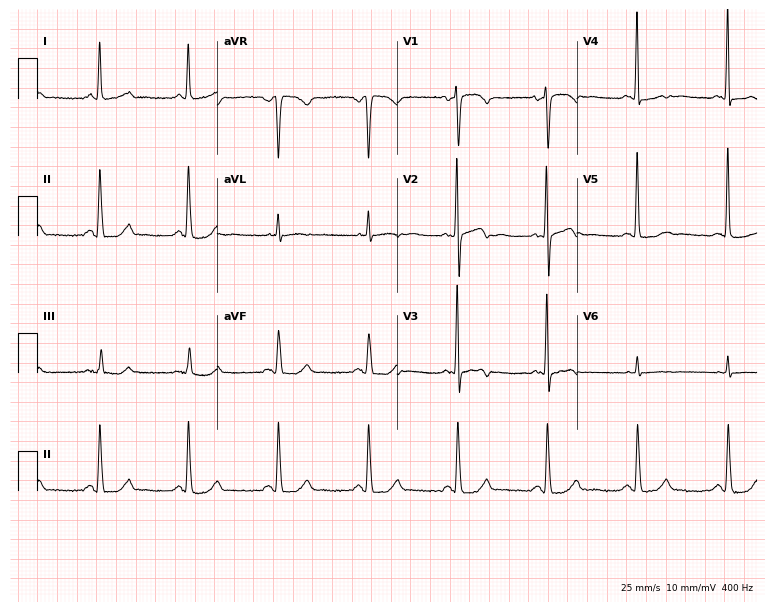
Resting 12-lead electrocardiogram (7.3-second recording at 400 Hz). Patient: a woman, 71 years old. Read as a normal ECG.